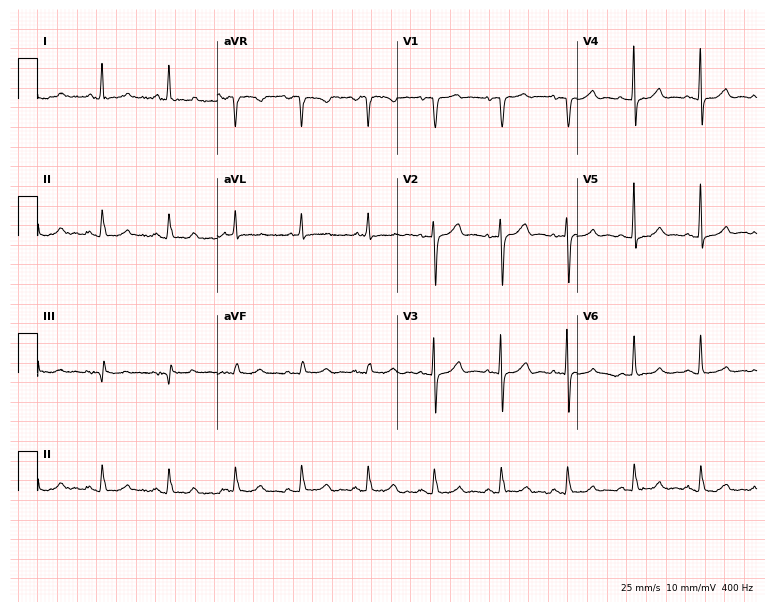
Standard 12-lead ECG recorded from a woman, 76 years old (7.3-second recording at 400 Hz). Read as a normal ECG.